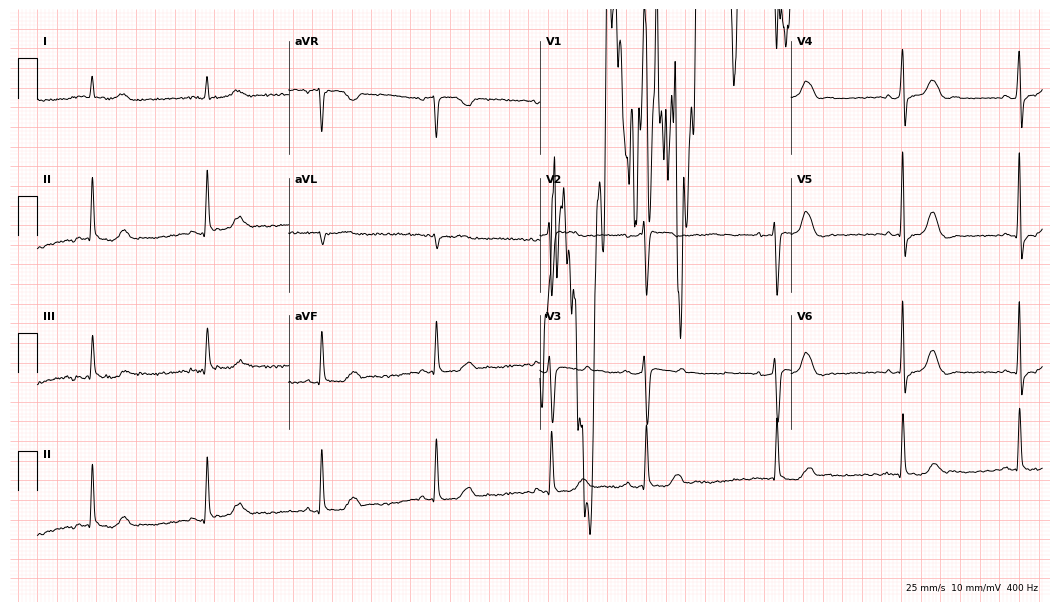
Standard 12-lead ECG recorded from a 72-year-old female (10.2-second recording at 400 Hz). None of these six findings is recorded: first-degree AV block, right bundle branch block, left bundle branch block, sinus bradycardia, atrial fibrillation, sinus tachycardia. Findings outside these six are not listed.